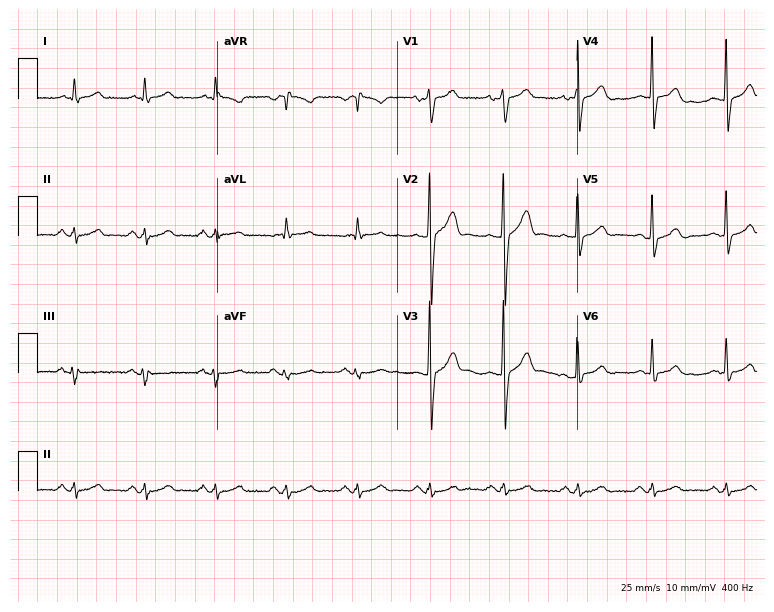
12-lead ECG from a 51-year-old male. No first-degree AV block, right bundle branch block, left bundle branch block, sinus bradycardia, atrial fibrillation or sinus tachycardia recorded for this tracing.